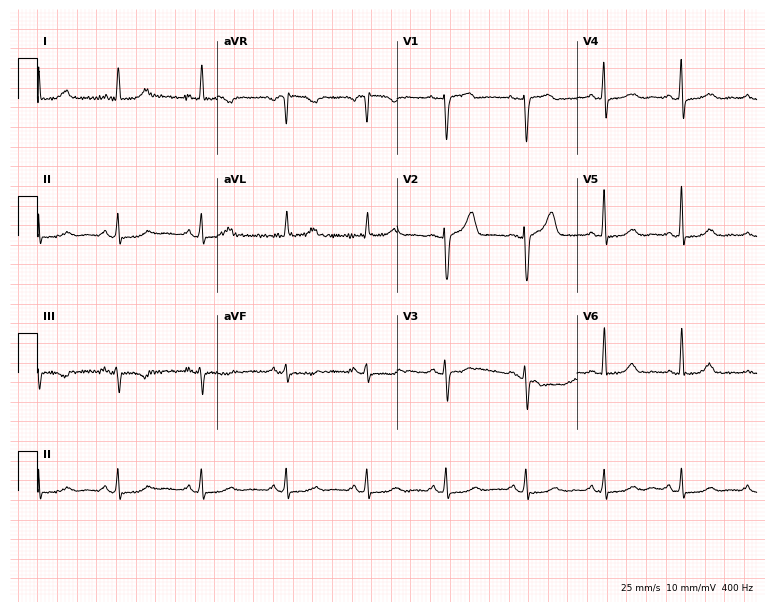
Electrocardiogram (7.3-second recording at 400 Hz), a female, 65 years old. Of the six screened findings (first-degree AV block, right bundle branch block, left bundle branch block, sinus bradycardia, atrial fibrillation, sinus tachycardia), none is recorded.